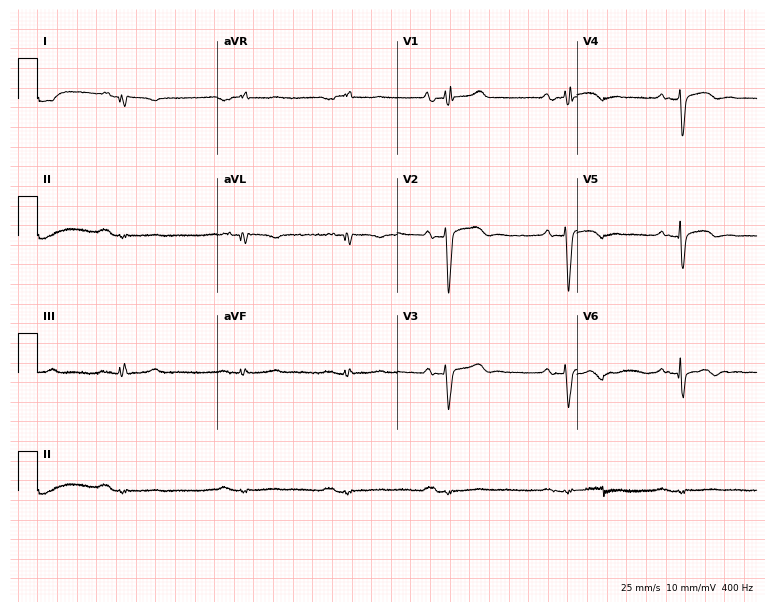
Electrocardiogram (7.3-second recording at 400 Hz), a male, 42 years old. Of the six screened findings (first-degree AV block, right bundle branch block, left bundle branch block, sinus bradycardia, atrial fibrillation, sinus tachycardia), none is recorded. Other findings, if any, are not listed.